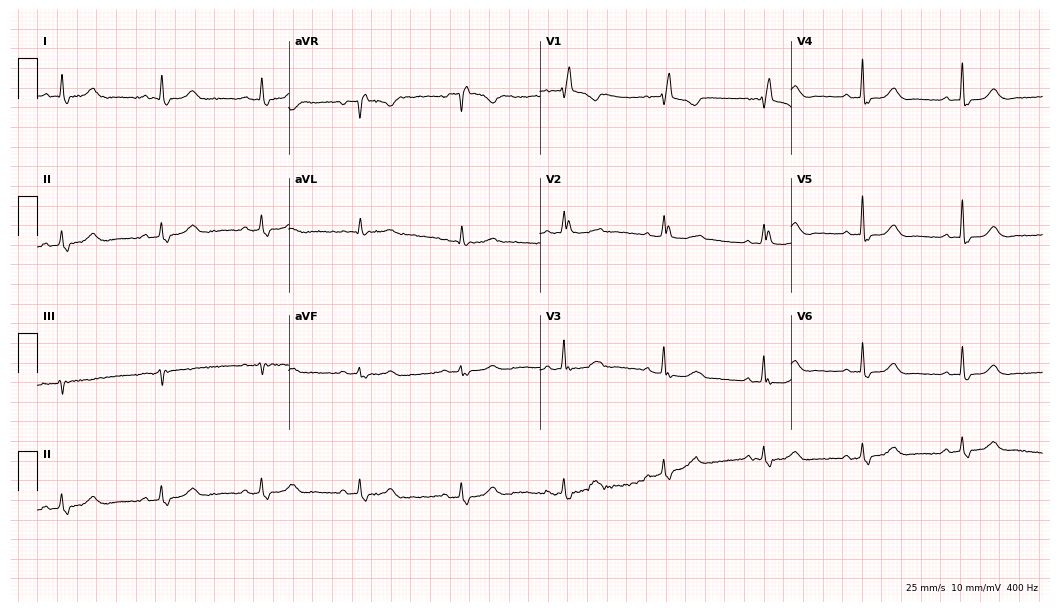
Electrocardiogram (10.2-second recording at 400 Hz), a female, 81 years old. Interpretation includes right bundle branch block (RBBB).